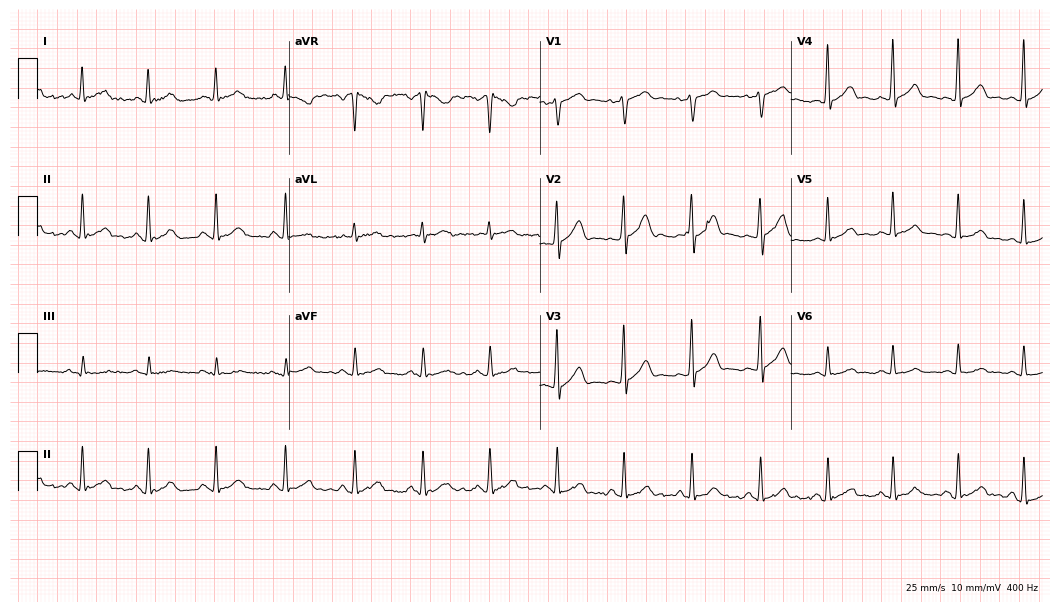
Resting 12-lead electrocardiogram (10.2-second recording at 400 Hz). Patient: a 54-year-old male. Read as a normal ECG.